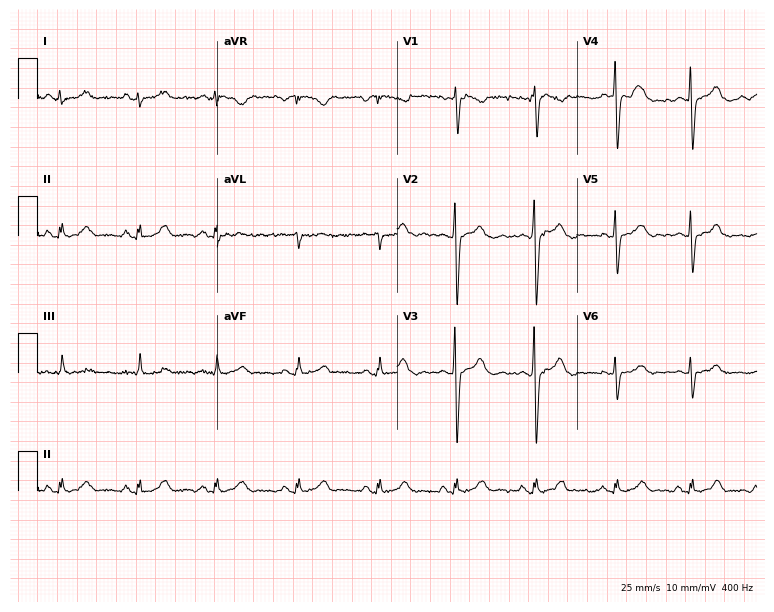
ECG (7.3-second recording at 400 Hz) — a 35-year-old woman. Screened for six findings — first-degree AV block, right bundle branch block (RBBB), left bundle branch block (LBBB), sinus bradycardia, atrial fibrillation (AF), sinus tachycardia — none is recorded. Other findings, if any, are not listed.